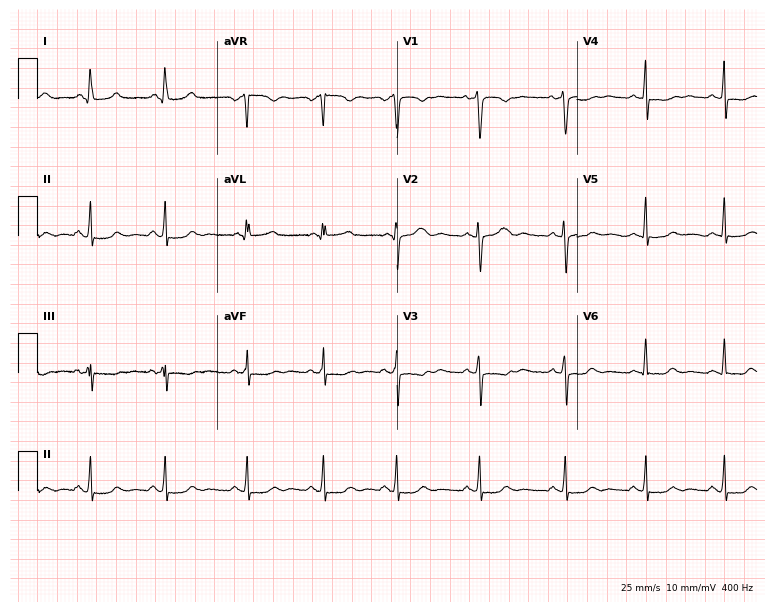
Standard 12-lead ECG recorded from a 20-year-old female patient (7.3-second recording at 400 Hz). None of these six findings is recorded: first-degree AV block, right bundle branch block (RBBB), left bundle branch block (LBBB), sinus bradycardia, atrial fibrillation (AF), sinus tachycardia.